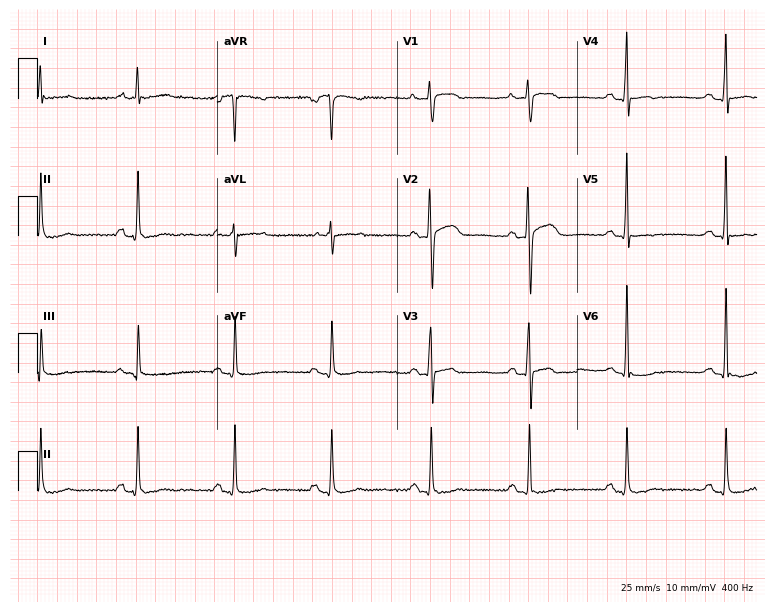
Electrocardiogram, a 43-year-old man. Of the six screened findings (first-degree AV block, right bundle branch block, left bundle branch block, sinus bradycardia, atrial fibrillation, sinus tachycardia), none is recorded. Other findings, if any, are not listed.